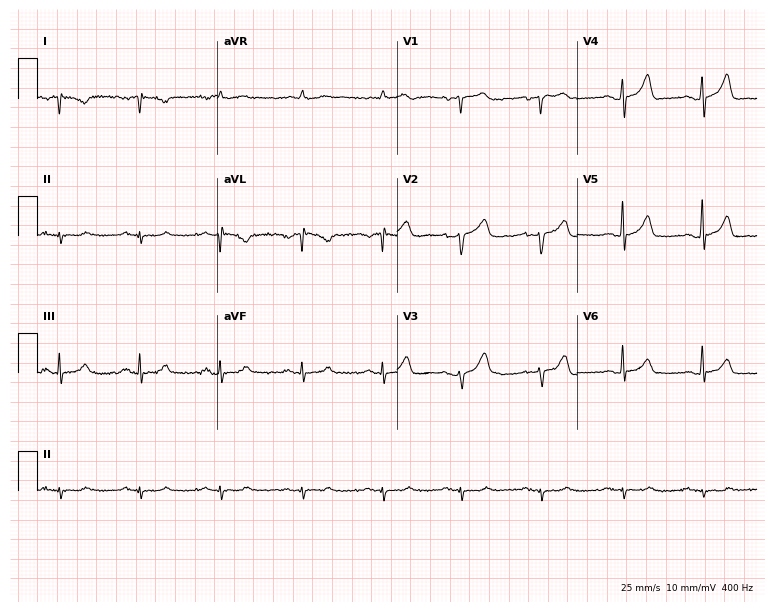
12-lead ECG (7.3-second recording at 400 Hz) from a 63-year-old man. Screened for six findings — first-degree AV block, right bundle branch block, left bundle branch block, sinus bradycardia, atrial fibrillation, sinus tachycardia — none is recorded. Findings outside these six are not listed.